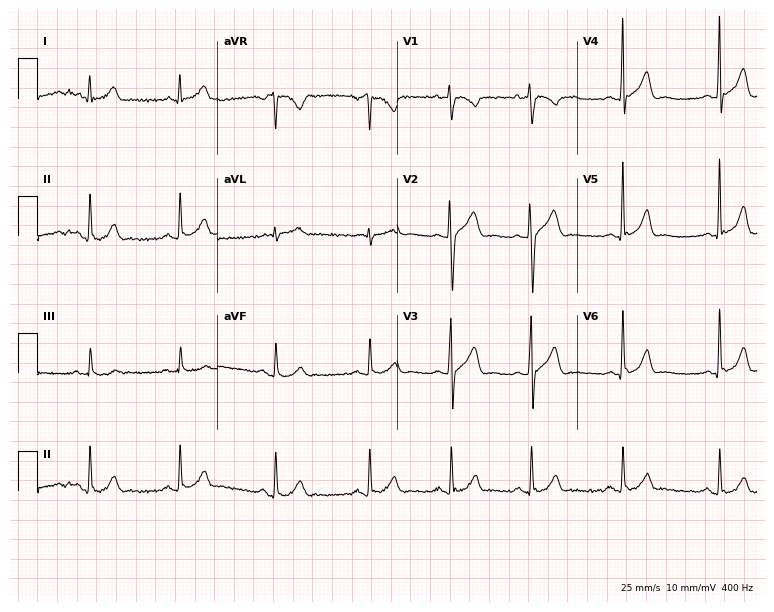
ECG (7.3-second recording at 400 Hz) — a 30-year-old male. Screened for six findings — first-degree AV block, right bundle branch block (RBBB), left bundle branch block (LBBB), sinus bradycardia, atrial fibrillation (AF), sinus tachycardia — none is recorded.